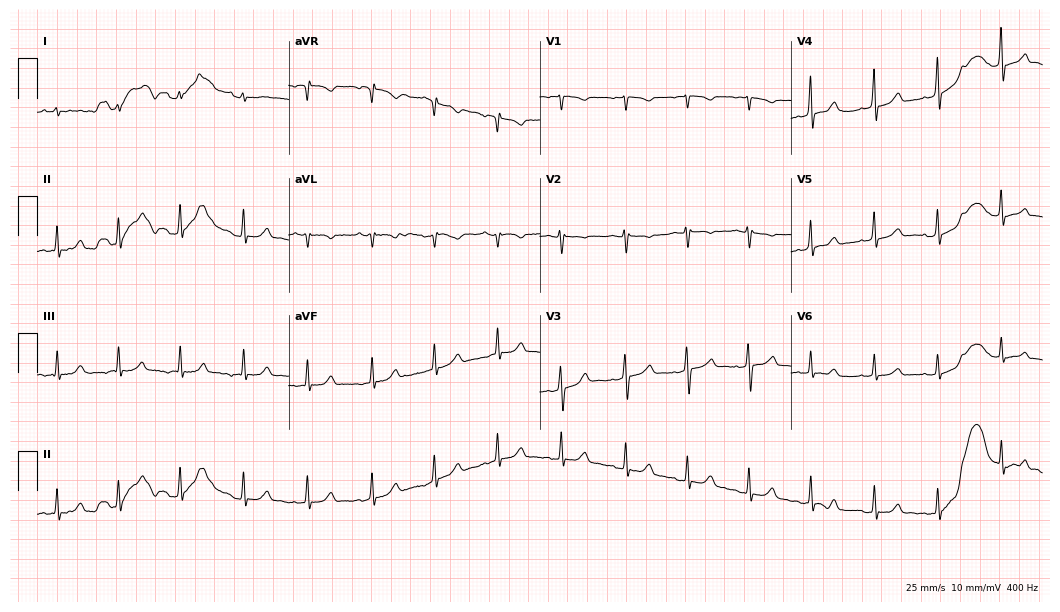
12-lead ECG from a female, 23 years old. Recorded interpretation: within normal limits.